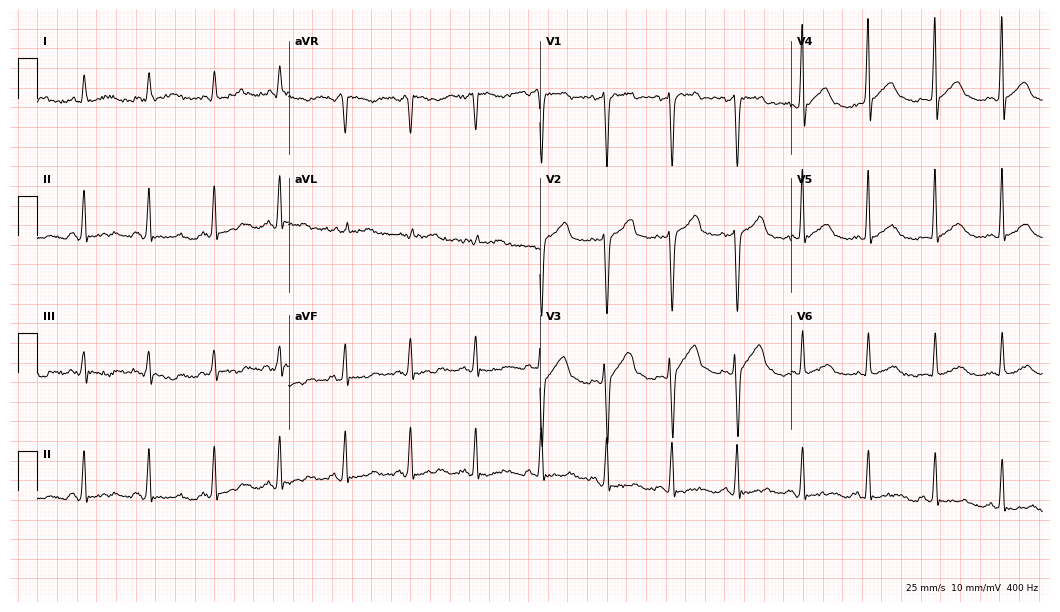
Standard 12-lead ECG recorded from a 55-year-old woman (10.2-second recording at 400 Hz). None of these six findings is recorded: first-degree AV block, right bundle branch block (RBBB), left bundle branch block (LBBB), sinus bradycardia, atrial fibrillation (AF), sinus tachycardia.